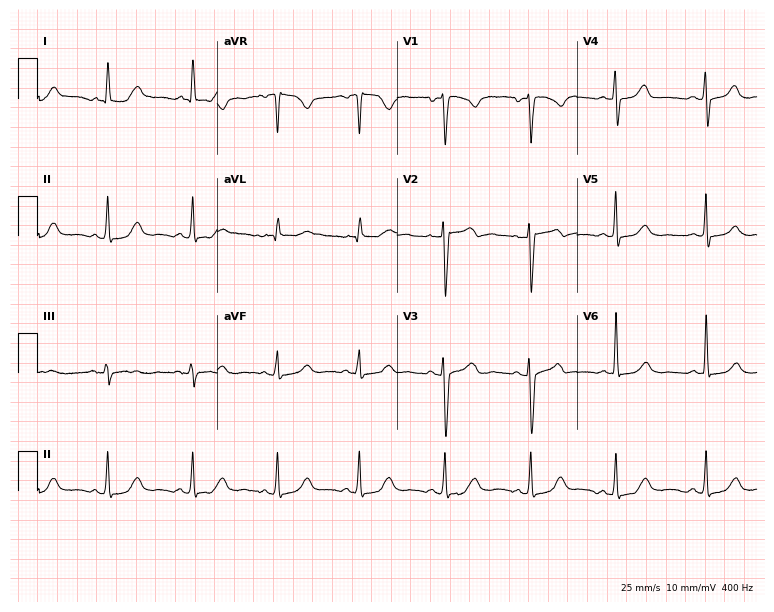
Standard 12-lead ECG recorded from a female, 44 years old. Read as a normal ECG.